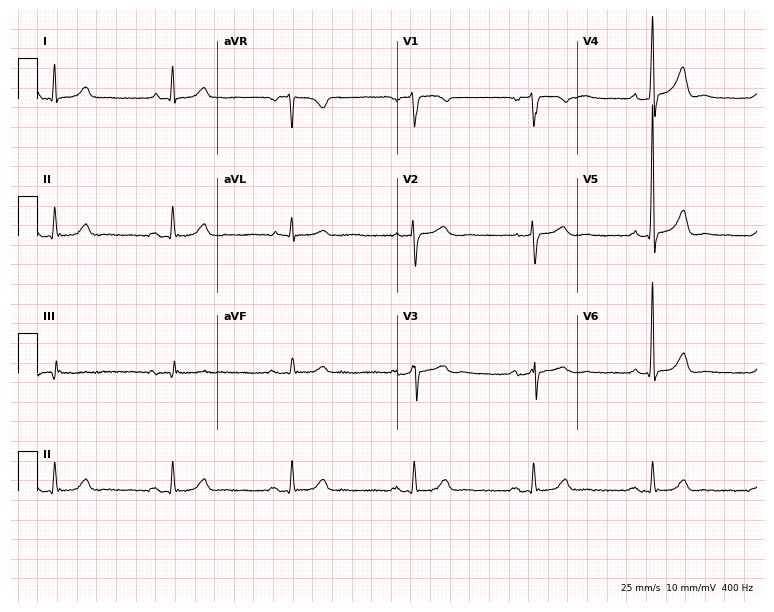
12-lead ECG from a 74-year-old male patient. Findings include sinus bradycardia (a sinus rate of 50 beats per minute or less).